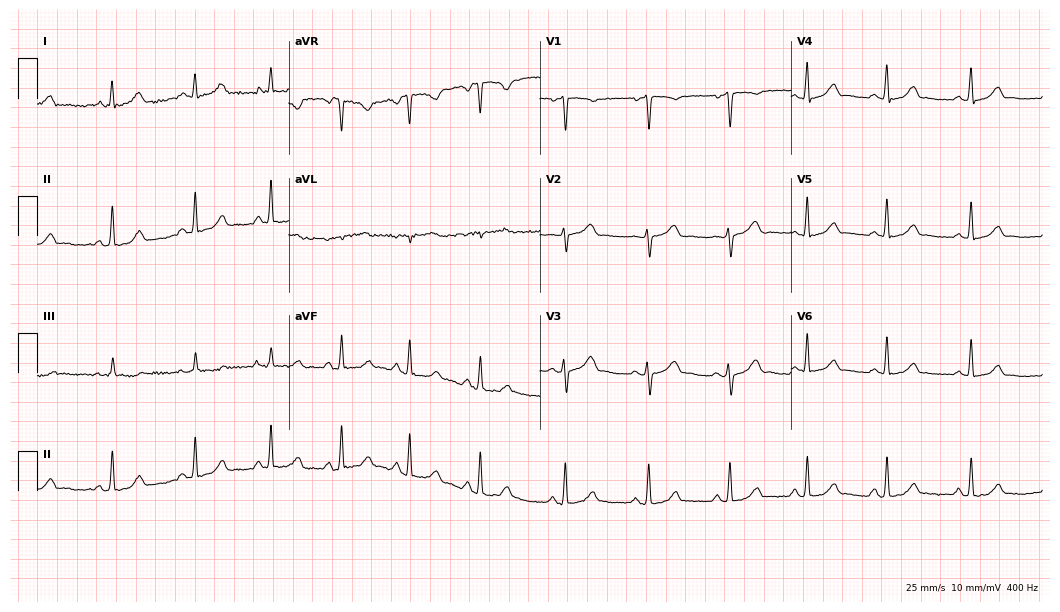
Standard 12-lead ECG recorded from a female patient, 38 years old (10.2-second recording at 400 Hz). Read as a normal ECG.